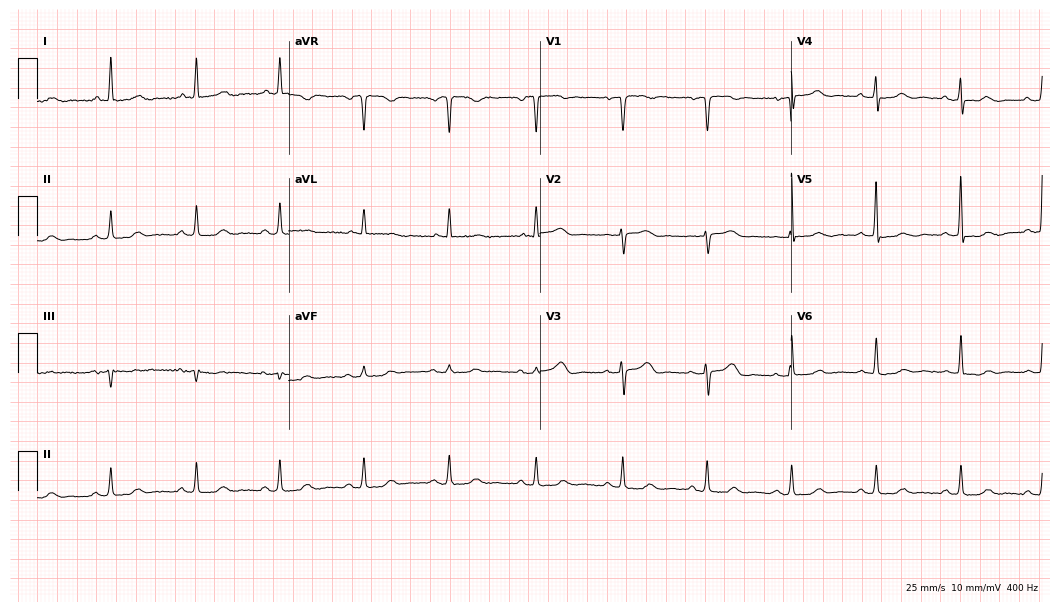
Electrocardiogram (10.2-second recording at 400 Hz), an 81-year-old female. Overall reading on record: normal ECG.